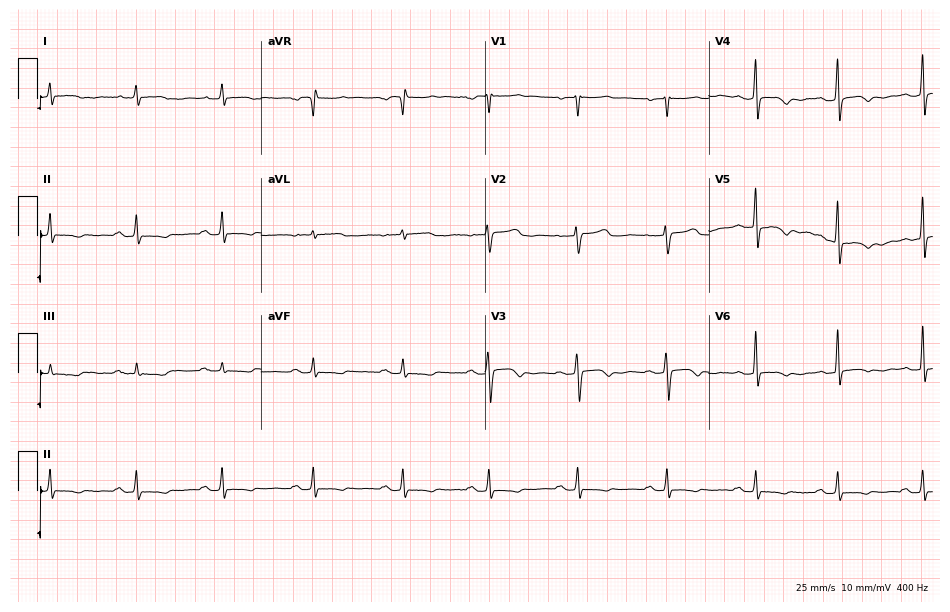
ECG — a female, 43 years old. Screened for six findings — first-degree AV block, right bundle branch block, left bundle branch block, sinus bradycardia, atrial fibrillation, sinus tachycardia — none is recorded.